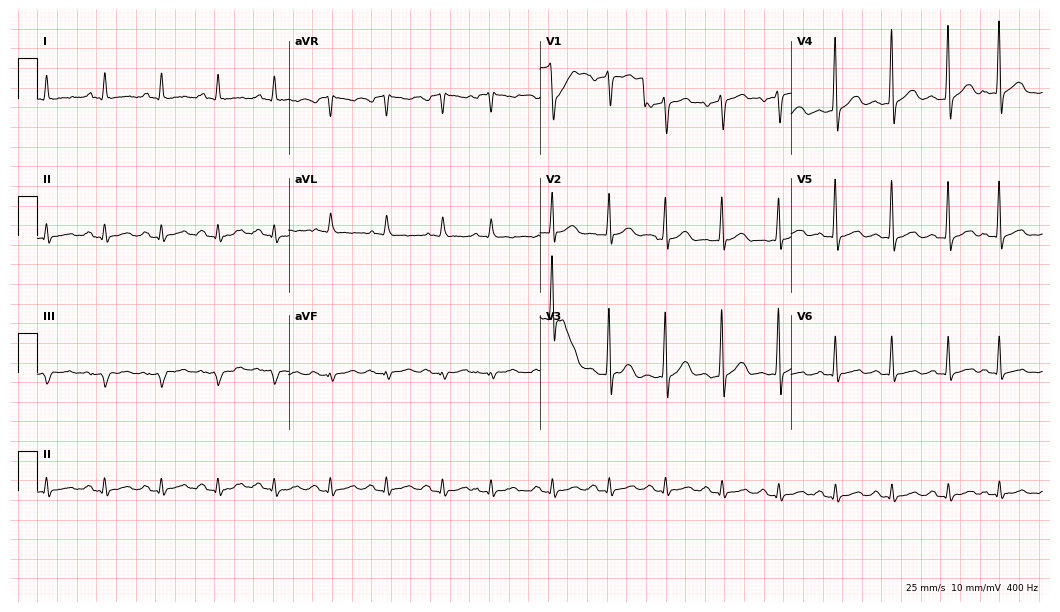
Standard 12-lead ECG recorded from an 83-year-old male (10.2-second recording at 400 Hz). Read as a normal ECG.